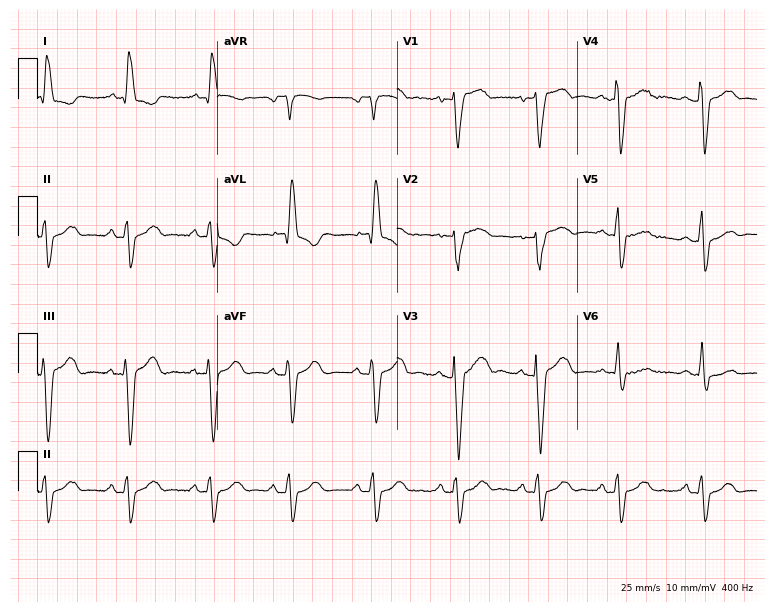
Standard 12-lead ECG recorded from a female, 74 years old (7.3-second recording at 400 Hz). The tracing shows left bundle branch block (LBBB).